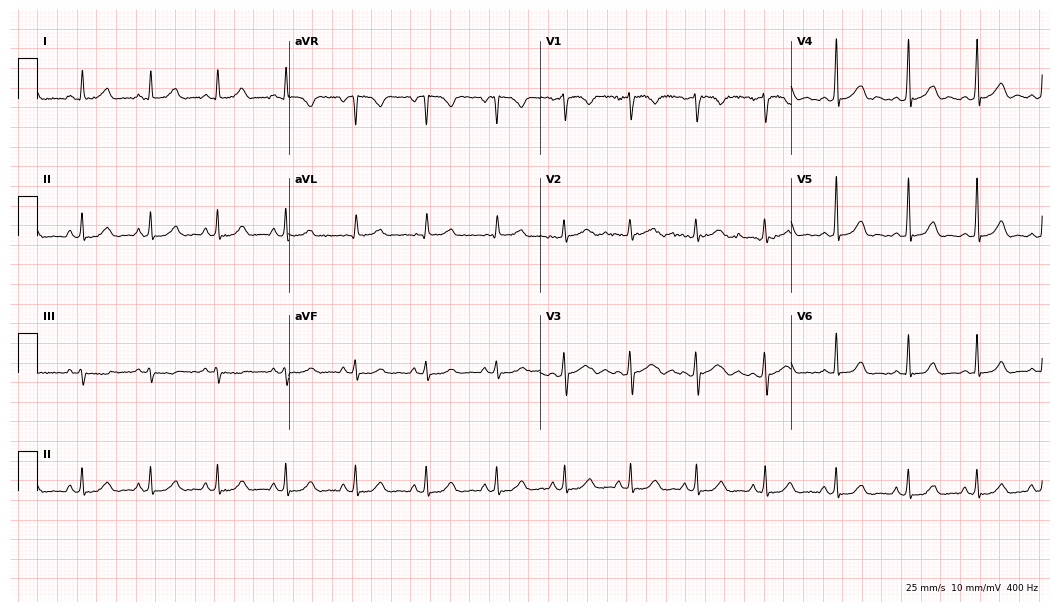
12-lead ECG from a female patient, 33 years old (10.2-second recording at 400 Hz). Recorded interpretation: within normal limits.